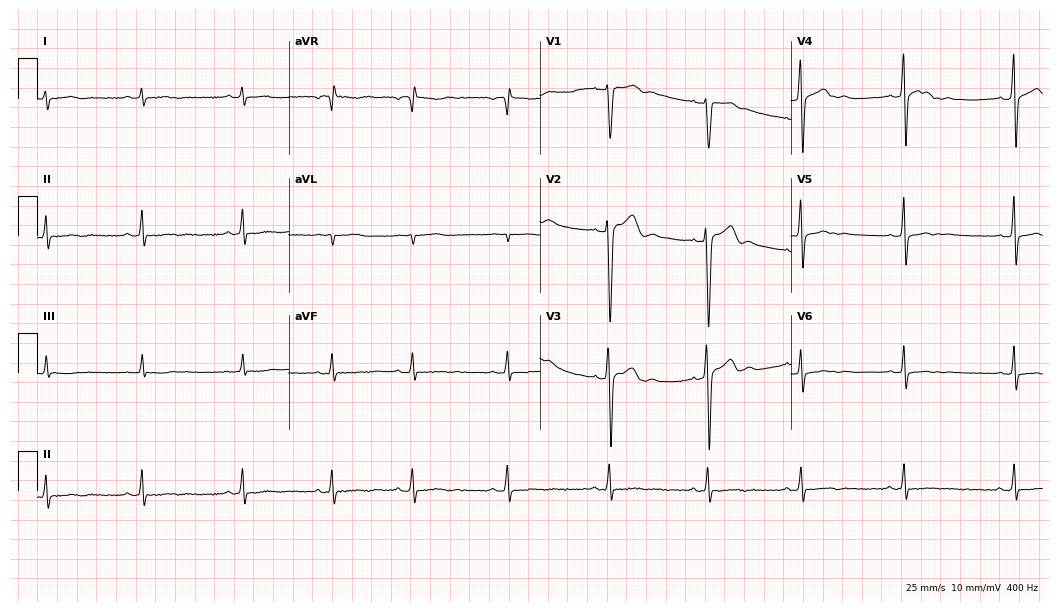
12-lead ECG from a 24-year-old male patient. Labelled as a normal ECG.